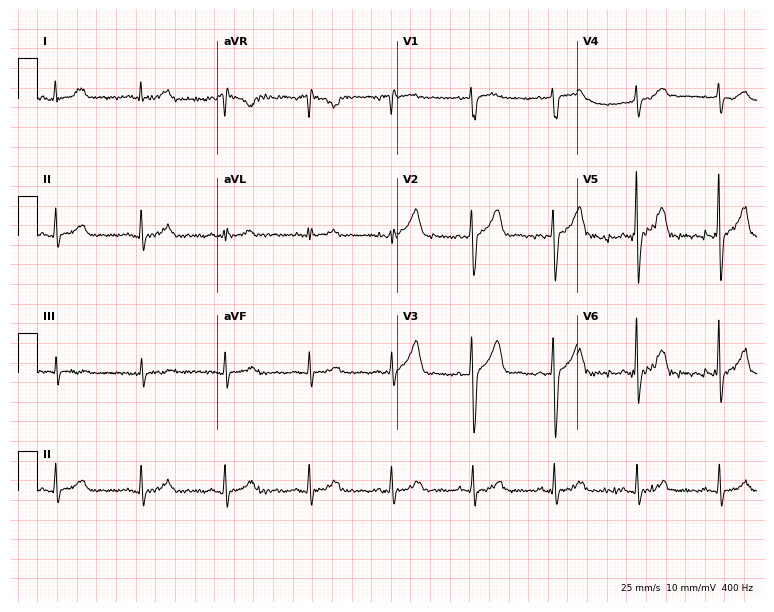
ECG — a male patient, 57 years old. Screened for six findings — first-degree AV block, right bundle branch block, left bundle branch block, sinus bradycardia, atrial fibrillation, sinus tachycardia — none is recorded. Only these six findings were labelled.